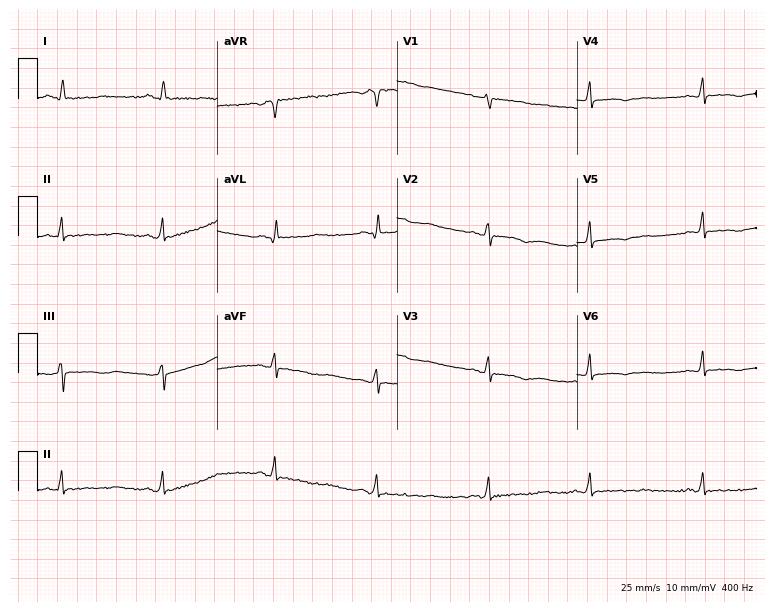
Resting 12-lead electrocardiogram. Patient: a female, 48 years old. None of these six findings is recorded: first-degree AV block, right bundle branch block, left bundle branch block, sinus bradycardia, atrial fibrillation, sinus tachycardia. Findings outside these six are not listed.